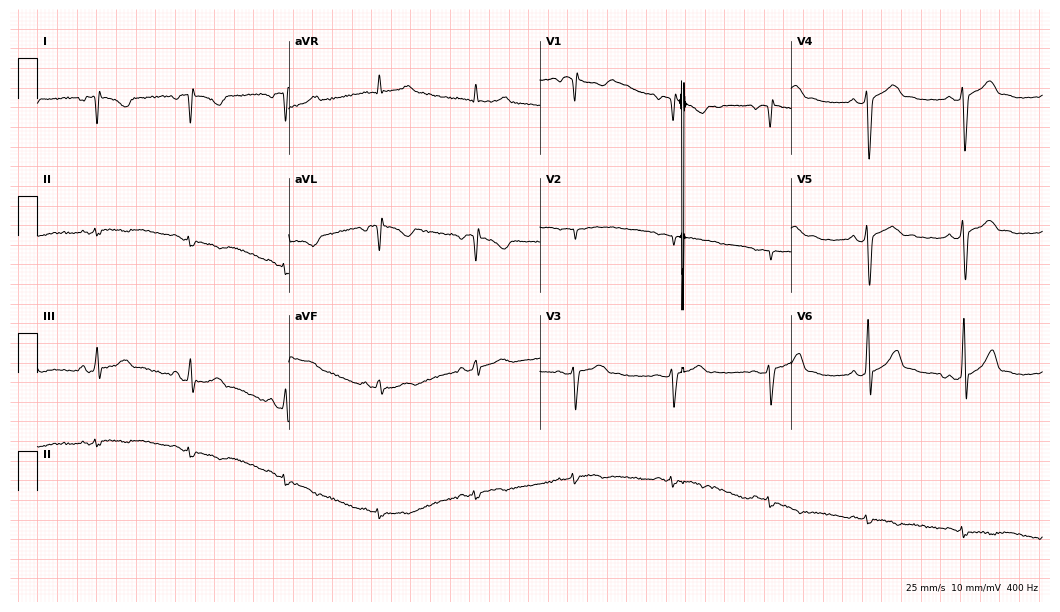
Standard 12-lead ECG recorded from a 26-year-old male. None of these six findings is recorded: first-degree AV block, right bundle branch block (RBBB), left bundle branch block (LBBB), sinus bradycardia, atrial fibrillation (AF), sinus tachycardia. Other findings, if any, are not listed.